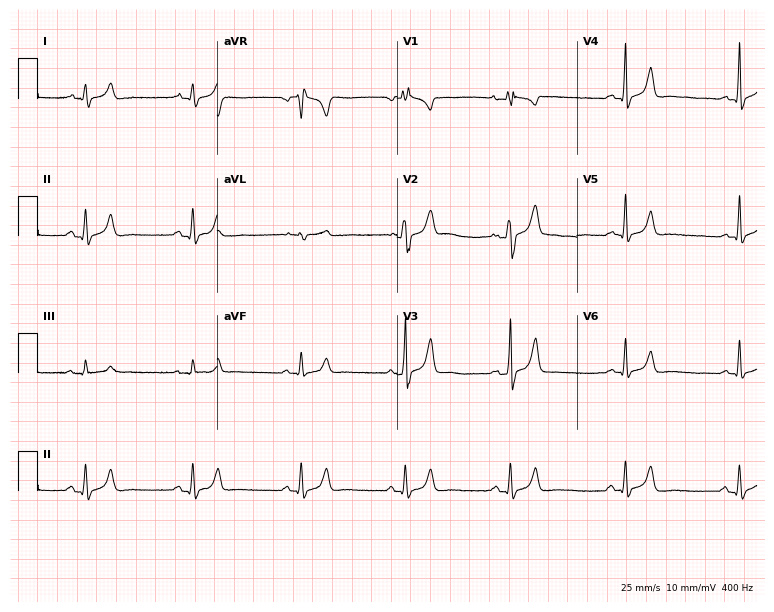
Standard 12-lead ECG recorded from a 34-year-old male patient (7.3-second recording at 400 Hz). None of these six findings is recorded: first-degree AV block, right bundle branch block, left bundle branch block, sinus bradycardia, atrial fibrillation, sinus tachycardia.